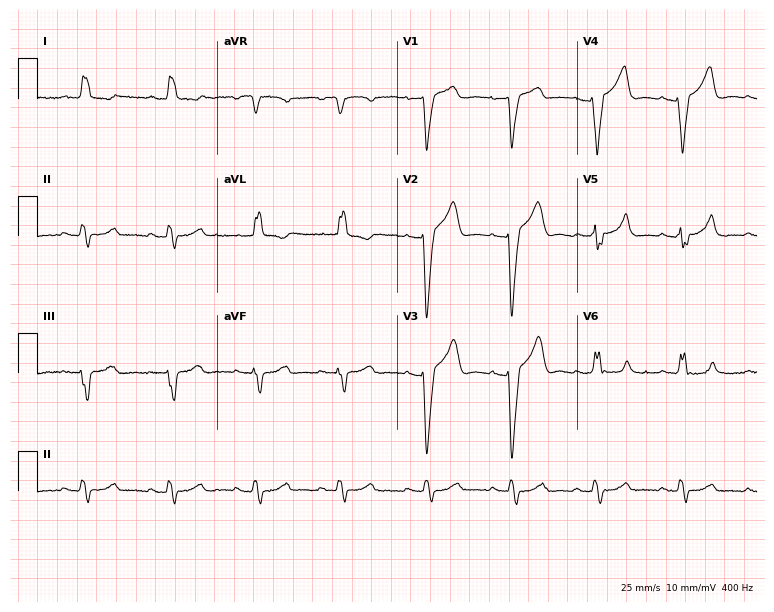
12-lead ECG from a woman, 42 years old (7.3-second recording at 400 Hz). Shows left bundle branch block.